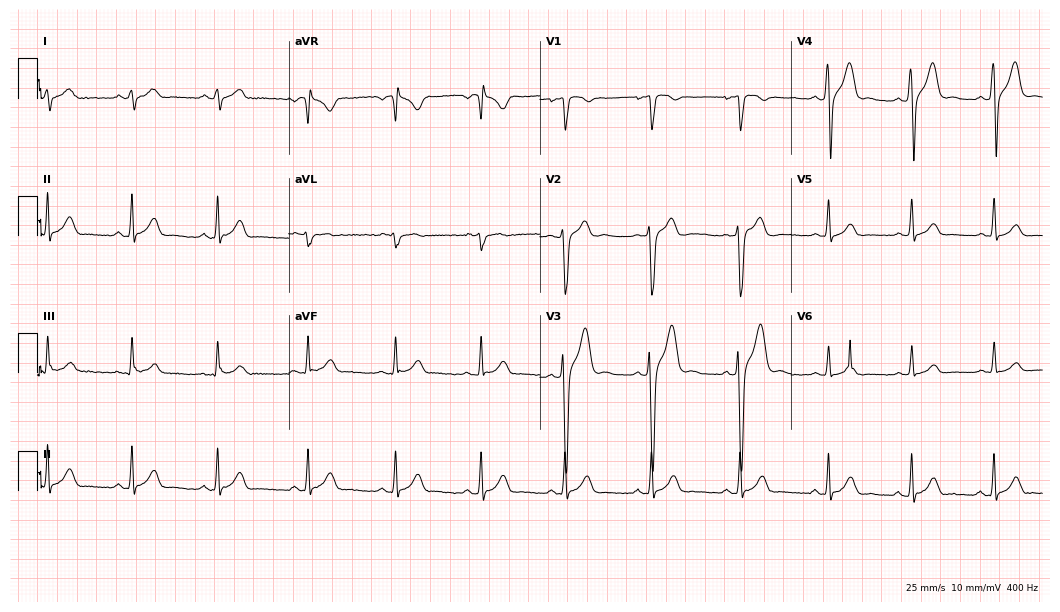
12-lead ECG from a 20-year-old male. Recorded interpretation: within normal limits.